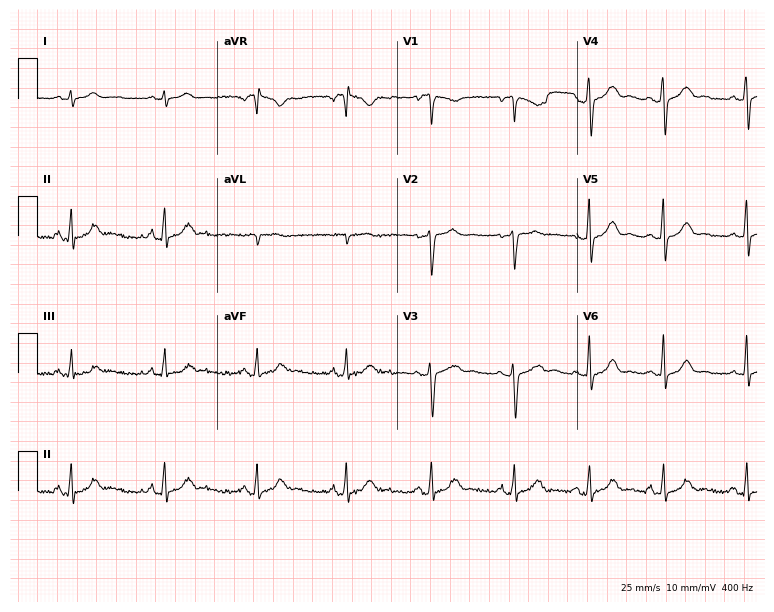
Electrocardiogram (7.3-second recording at 400 Hz), a 27-year-old female patient. Overall reading on record: normal ECG.